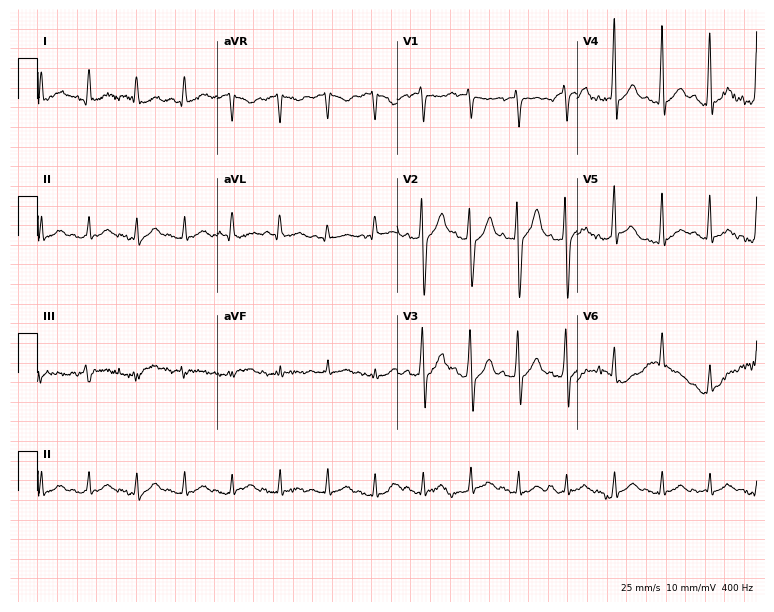
ECG — a 42-year-old man. Findings include sinus tachycardia (a sinus rate of 100 beats per minute or more).